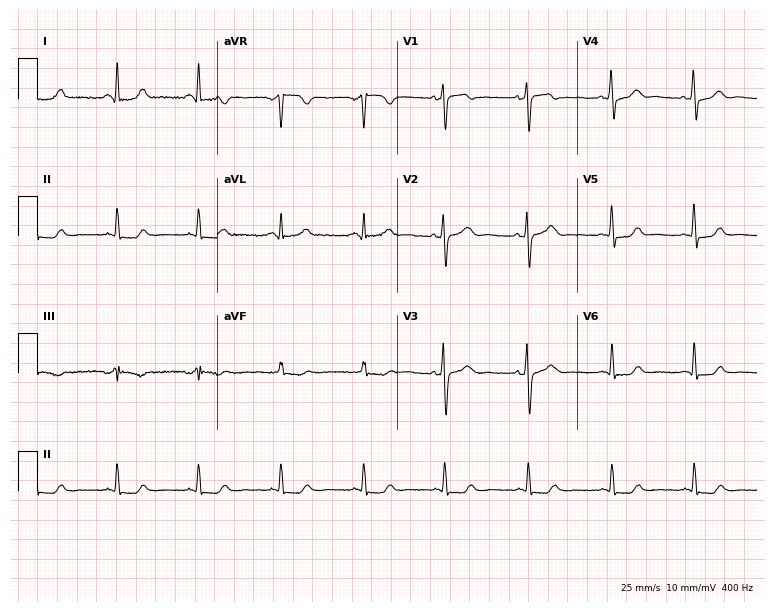
Resting 12-lead electrocardiogram. Patient: a female, 41 years old. None of these six findings is recorded: first-degree AV block, right bundle branch block, left bundle branch block, sinus bradycardia, atrial fibrillation, sinus tachycardia. Other findings, if any, are not listed.